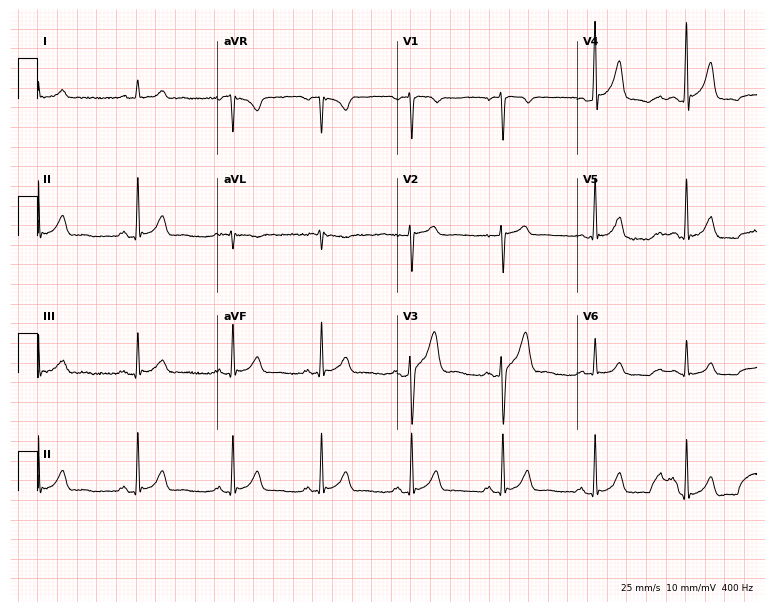
ECG — a 36-year-old male patient. Labelled as a normal ECG.